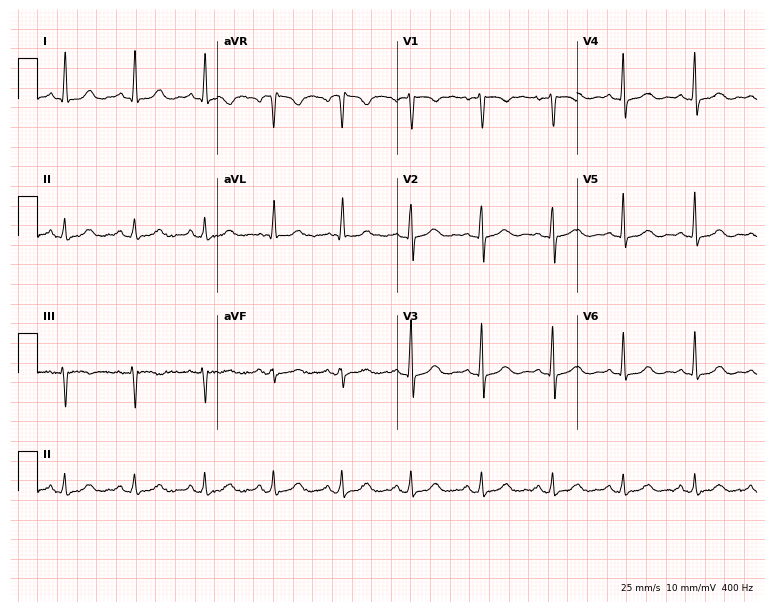
Resting 12-lead electrocardiogram (7.3-second recording at 400 Hz). Patient: a woman, 60 years old. Read as a normal ECG.